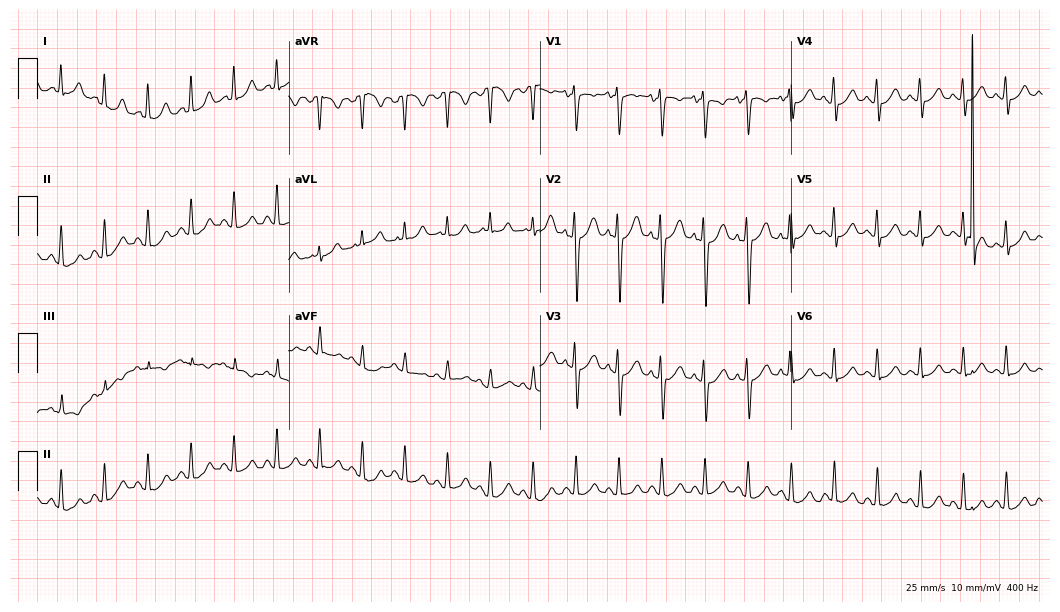
12-lead ECG (10.2-second recording at 400 Hz) from a female patient, 29 years old. Findings include sinus tachycardia (a sinus rate of 100 beats per minute or more).